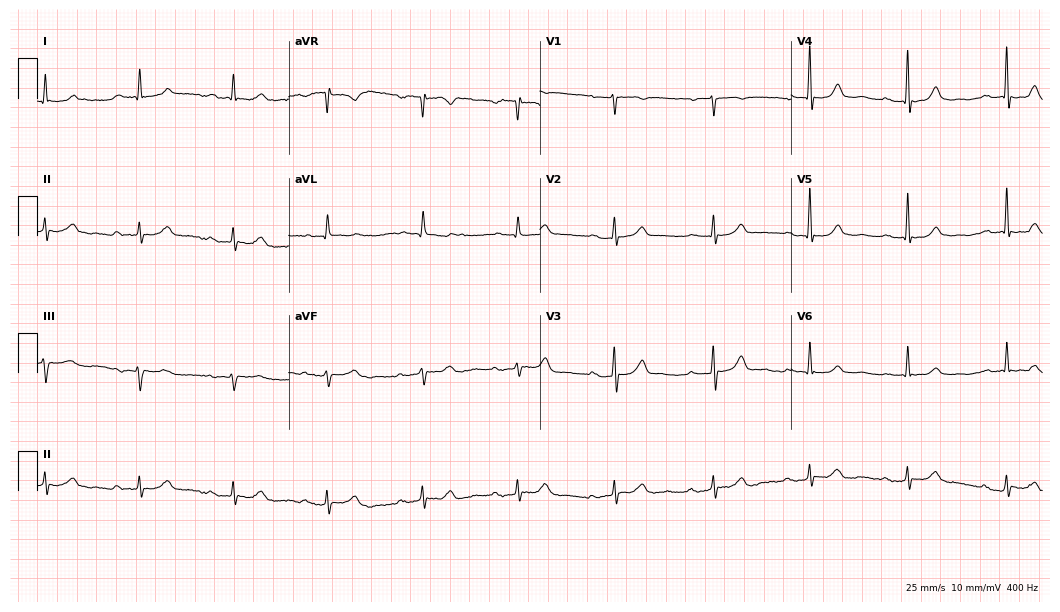
Standard 12-lead ECG recorded from an 83-year-old male patient. The tracing shows first-degree AV block.